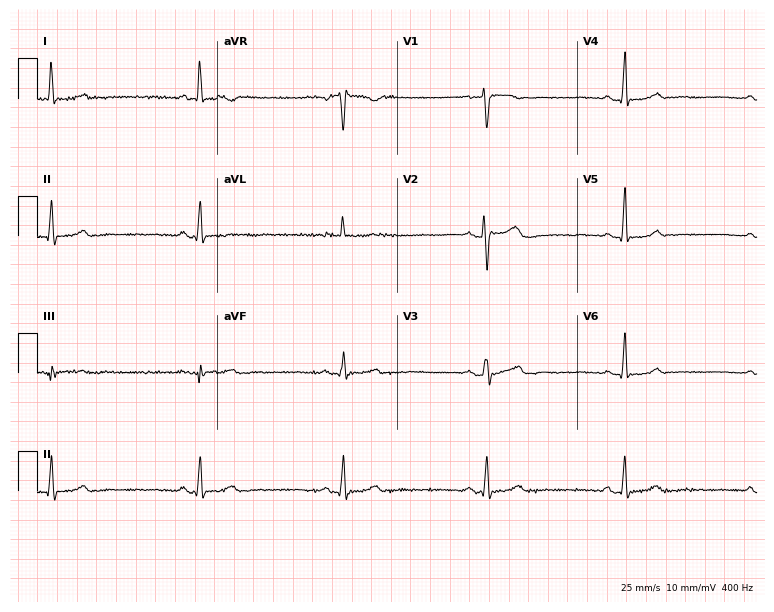
Electrocardiogram (7.3-second recording at 400 Hz), a 51-year-old female patient. Of the six screened findings (first-degree AV block, right bundle branch block (RBBB), left bundle branch block (LBBB), sinus bradycardia, atrial fibrillation (AF), sinus tachycardia), none is recorded. Findings outside these six are not listed.